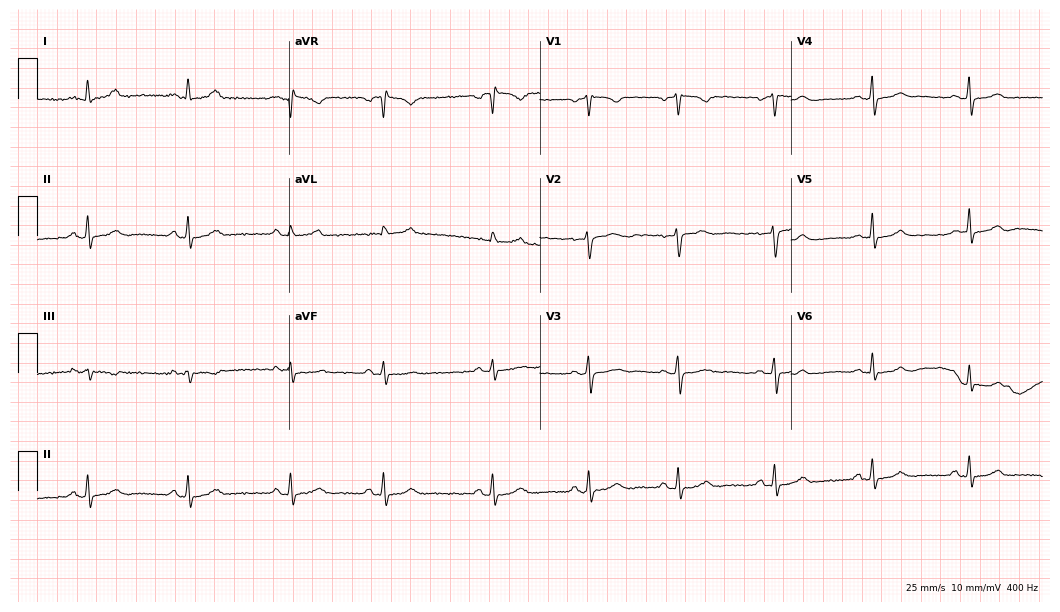
ECG (10.2-second recording at 400 Hz) — a 32-year-old female. Screened for six findings — first-degree AV block, right bundle branch block, left bundle branch block, sinus bradycardia, atrial fibrillation, sinus tachycardia — none is recorded. Only these six findings were labelled.